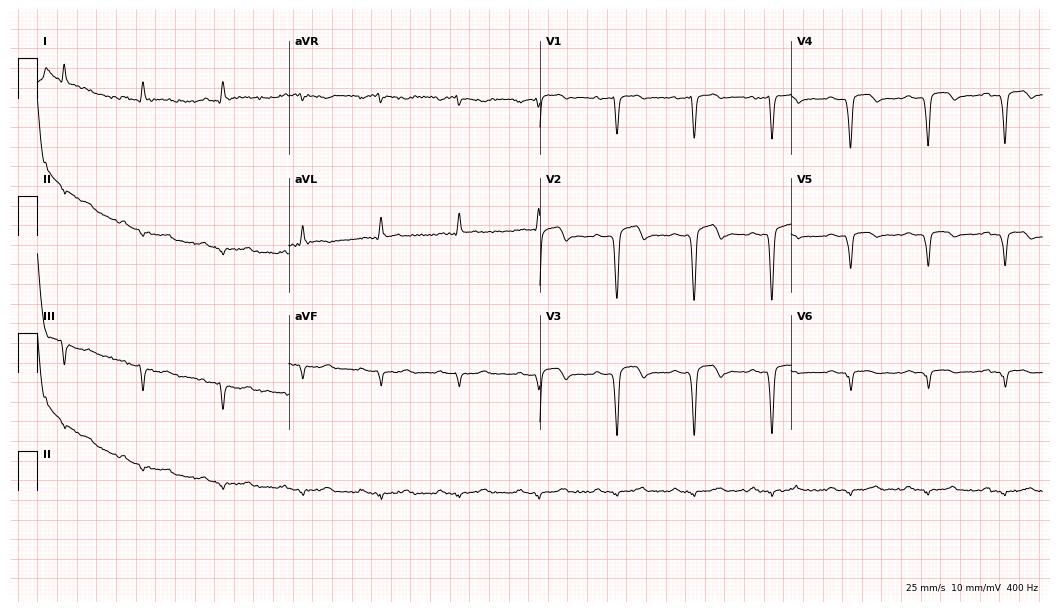
Electrocardiogram (10.2-second recording at 400 Hz), a male, 75 years old. Of the six screened findings (first-degree AV block, right bundle branch block (RBBB), left bundle branch block (LBBB), sinus bradycardia, atrial fibrillation (AF), sinus tachycardia), none is recorded. Other findings, if any, are not listed.